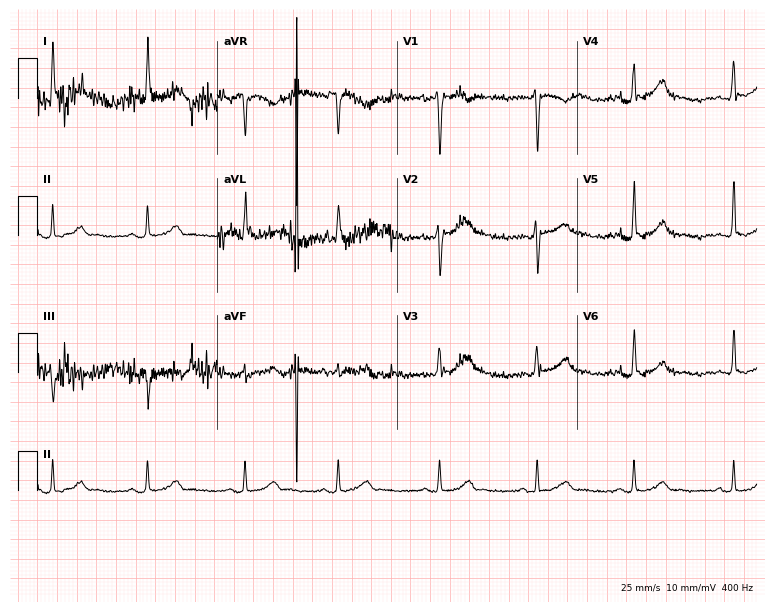
12-lead ECG from a 20-year-old female (7.3-second recording at 400 Hz). No first-degree AV block, right bundle branch block, left bundle branch block, sinus bradycardia, atrial fibrillation or sinus tachycardia recorded for this tracing.